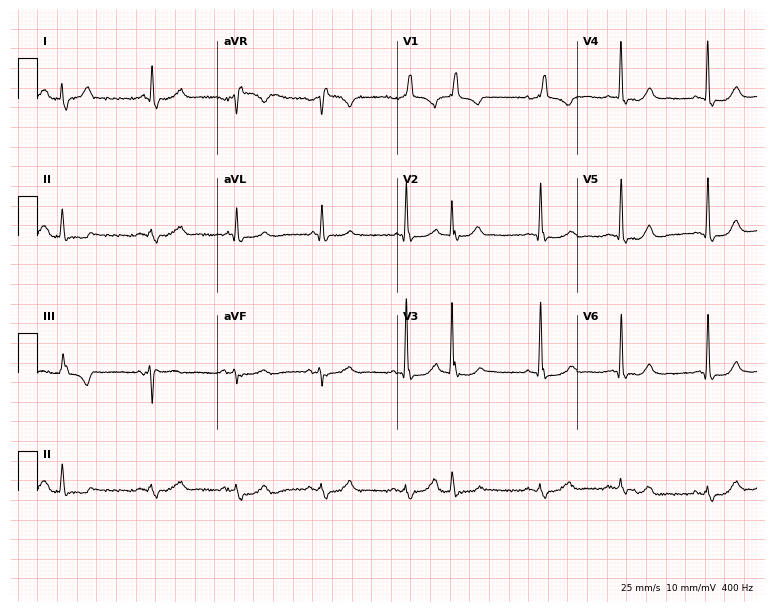
Resting 12-lead electrocardiogram. Patient: a man, 64 years old. None of these six findings is recorded: first-degree AV block, right bundle branch block, left bundle branch block, sinus bradycardia, atrial fibrillation, sinus tachycardia.